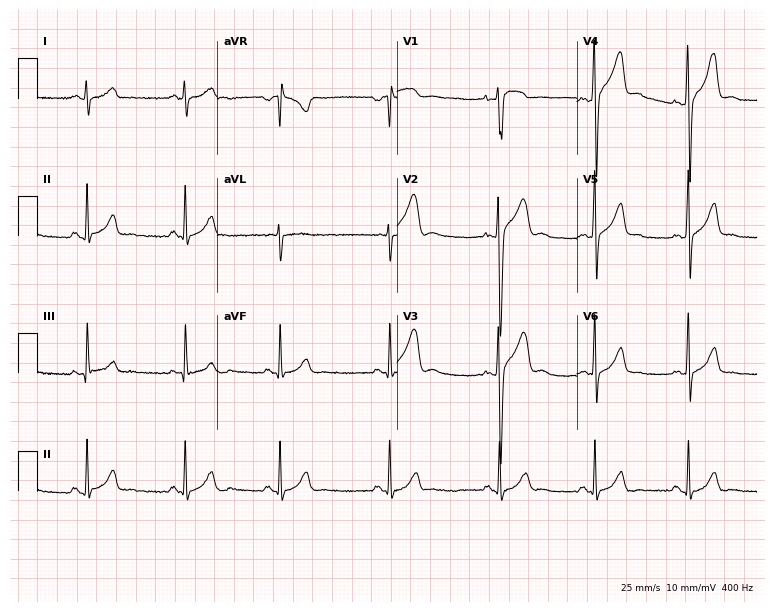
12-lead ECG from a 25-year-old man. Labelled as a normal ECG.